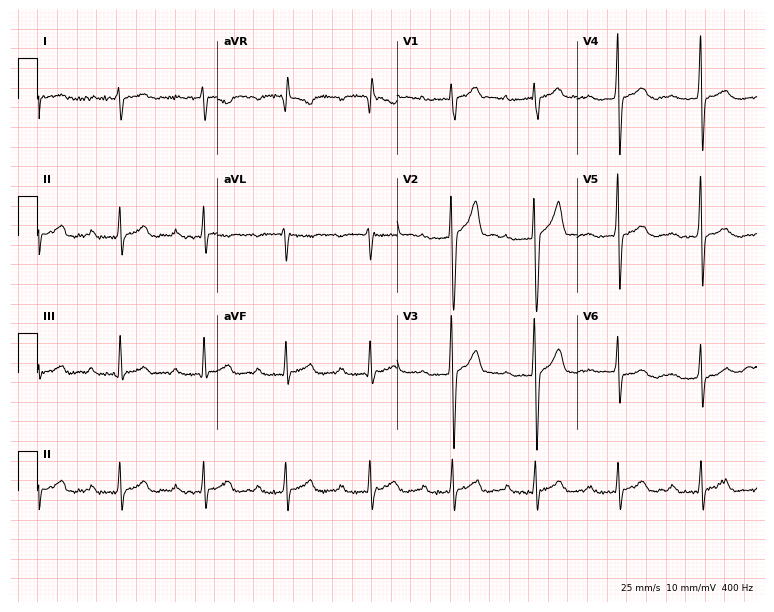
ECG (7.3-second recording at 400 Hz) — a 22-year-old male. Findings include first-degree AV block.